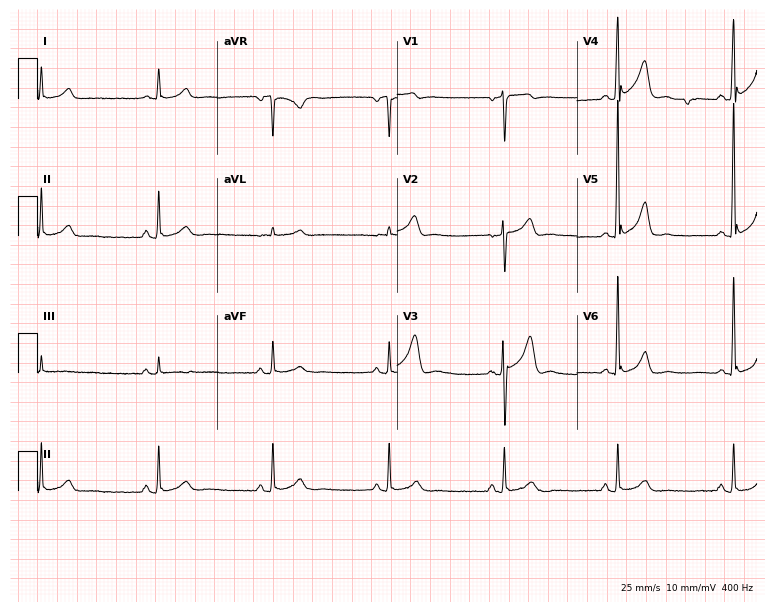
12-lead ECG from a man, 54 years old. Screened for six findings — first-degree AV block, right bundle branch block, left bundle branch block, sinus bradycardia, atrial fibrillation, sinus tachycardia — none is recorded. Other findings, if any, are not listed.